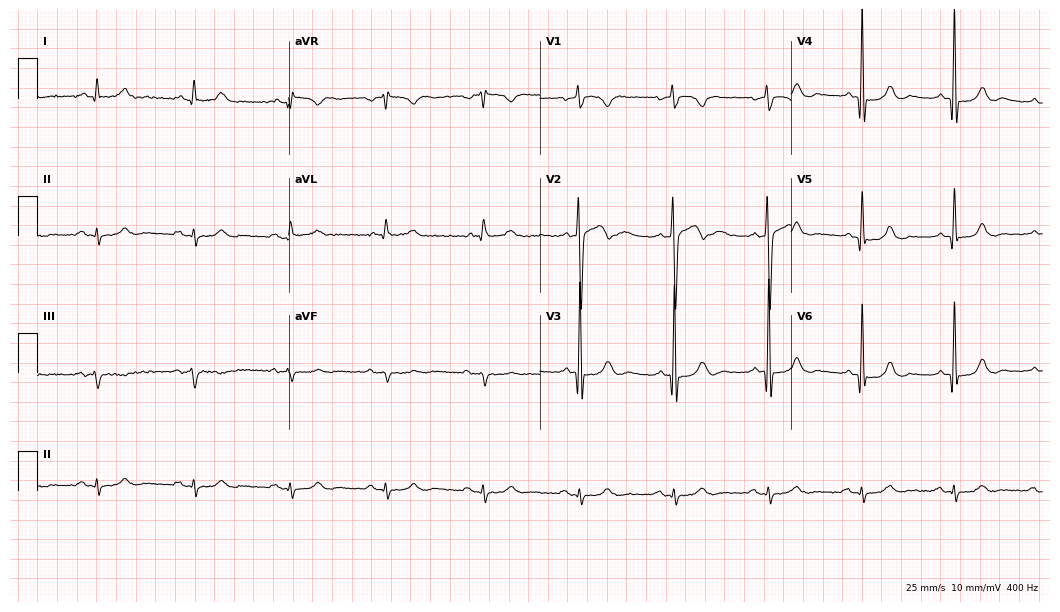
Standard 12-lead ECG recorded from a man, 73 years old. None of these six findings is recorded: first-degree AV block, right bundle branch block, left bundle branch block, sinus bradycardia, atrial fibrillation, sinus tachycardia. Other findings, if any, are not listed.